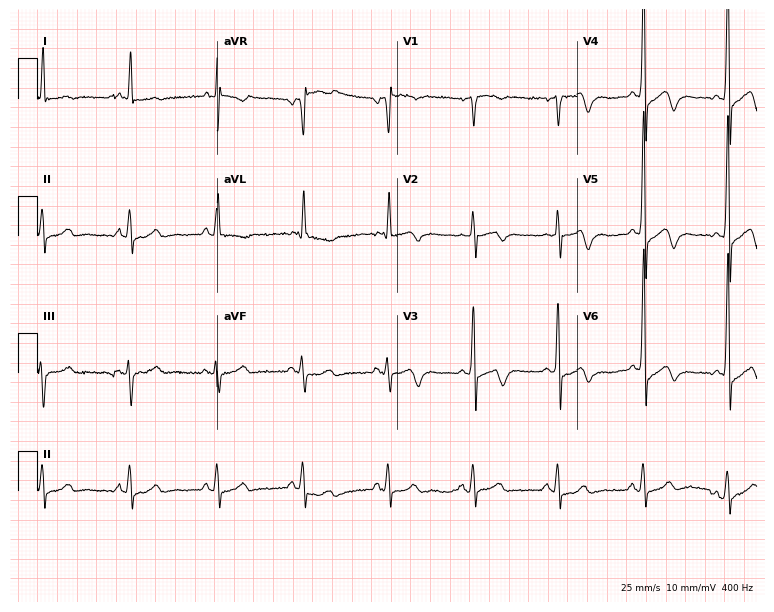
Electrocardiogram, an 85-year-old man. Of the six screened findings (first-degree AV block, right bundle branch block, left bundle branch block, sinus bradycardia, atrial fibrillation, sinus tachycardia), none is recorded.